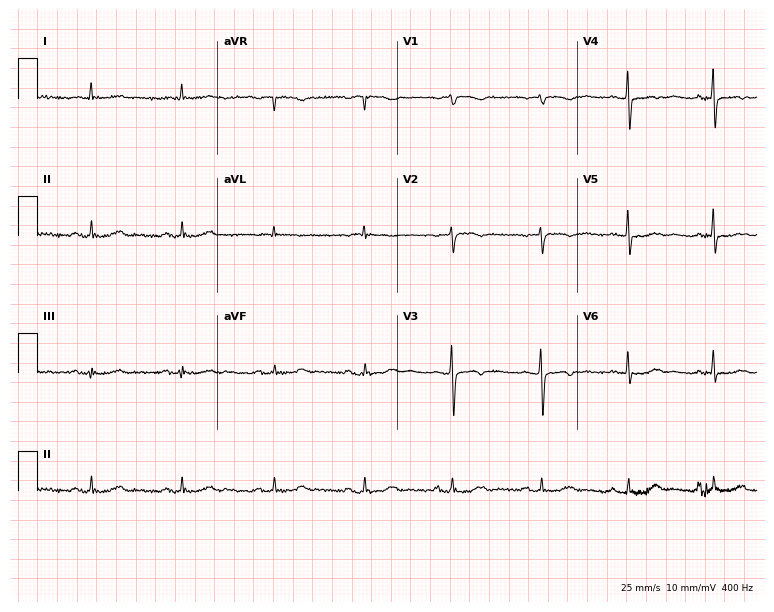
Resting 12-lead electrocardiogram. Patient: a 78-year-old female. Read as a normal ECG.